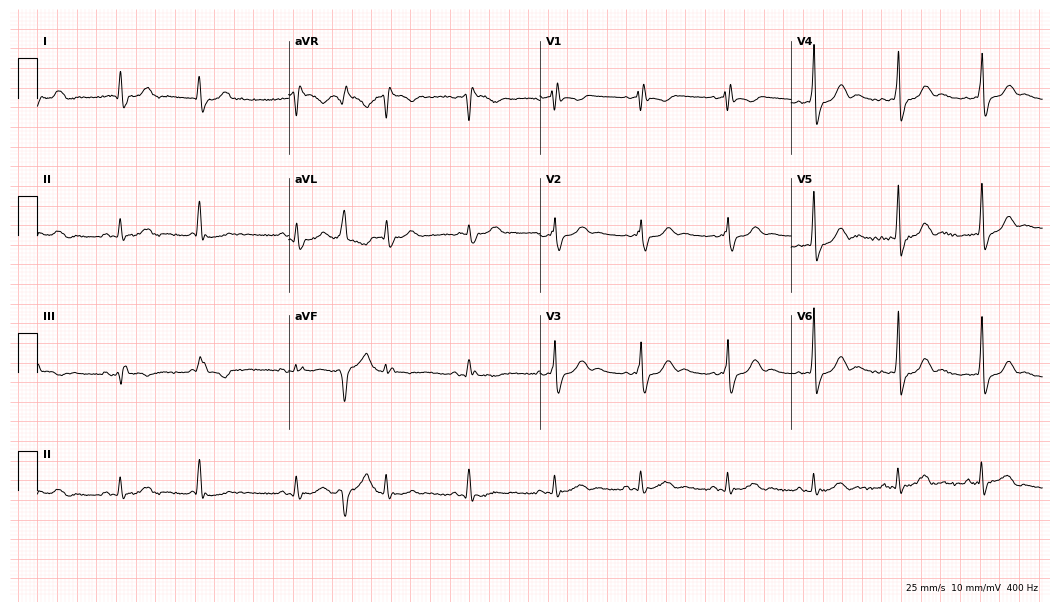
12-lead ECG from an 84-year-old man. Screened for six findings — first-degree AV block, right bundle branch block (RBBB), left bundle branch block (LBBB), sinus bradycardia, atrial fibrillation (AF), sinus tachycardia — none is recorded. Other findings, if any, are not listed.